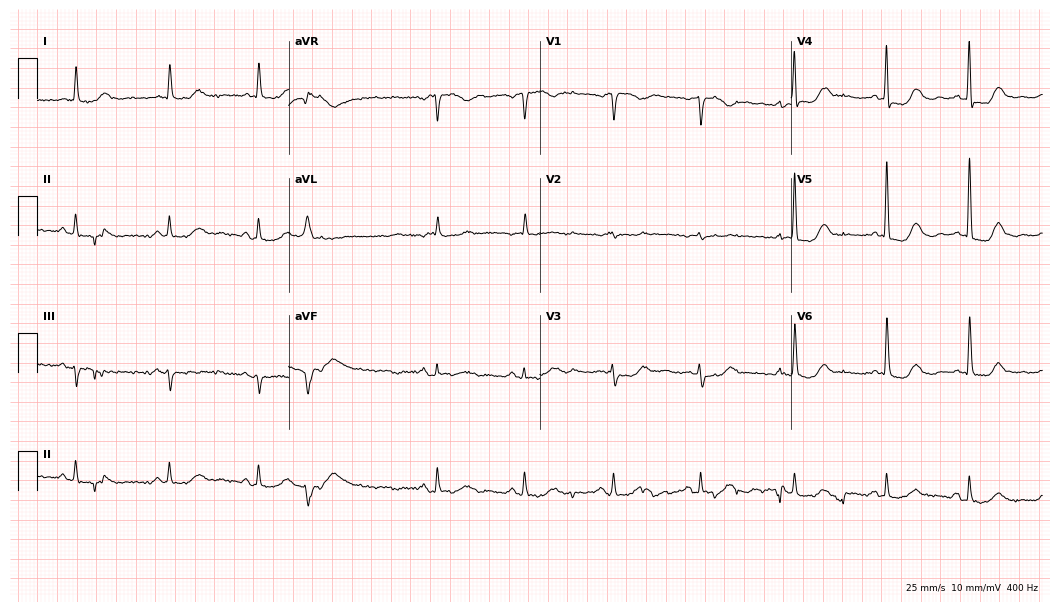
Standard 12-lead ECG recorded from a 77-year-old woman (10.2-second recording at 400 Hz). None of these six findings is recorded: first-degree AV block, right bundle branch block, left bundle branch block, sinus bradycardia, atrial fibrillation, sinus tachycardia.